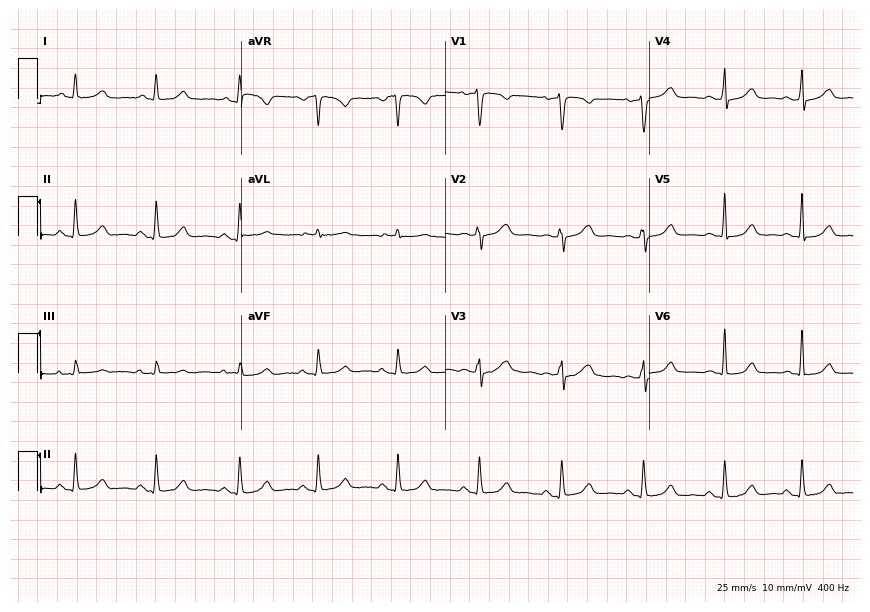
12-lead ECG (8.3-second recording at 400 Hz) from a 48-year-old female patient. Labelled as a normal ECG.